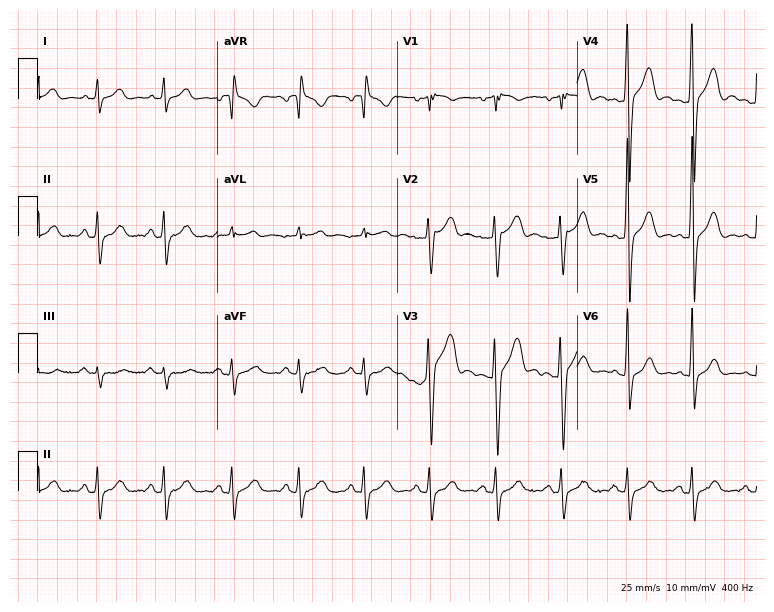
12-lead ECG from a 40-year-old man. Labelled as a normal ECG.